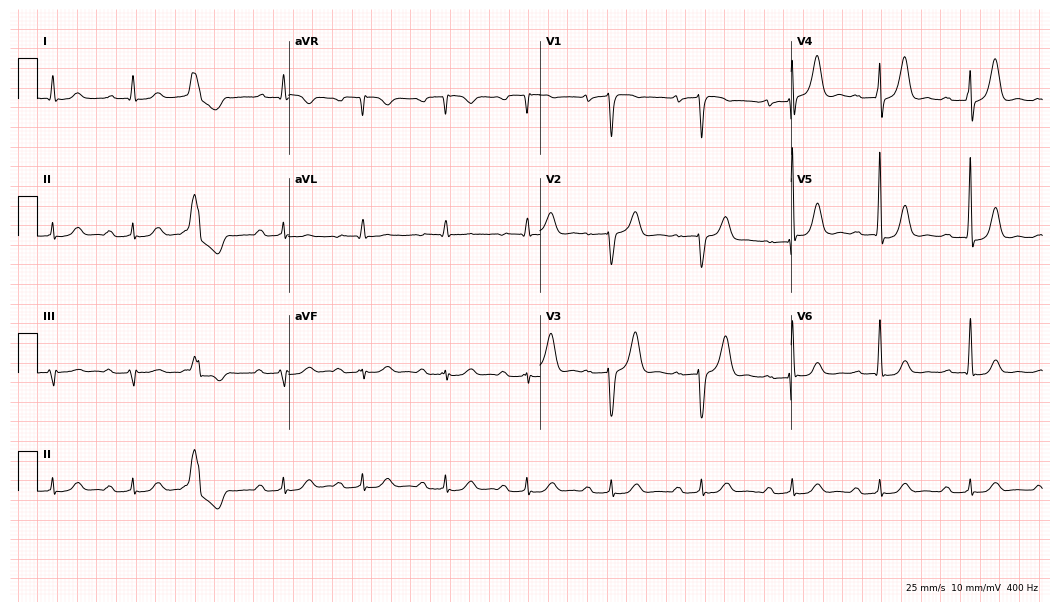
12-lead ECG from a male, 82 years old. Shows first-degree AV block.